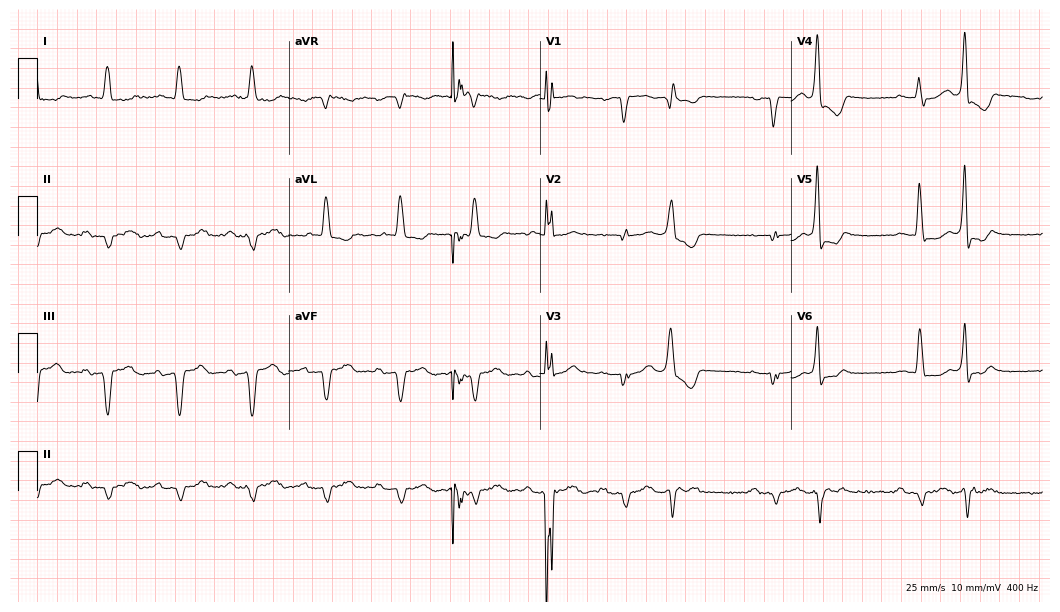
Standard 12-lead ECG recorded from an 85-year-old male (10.2-second recording at 400 Hz). The tracing shows first-degree AV block.